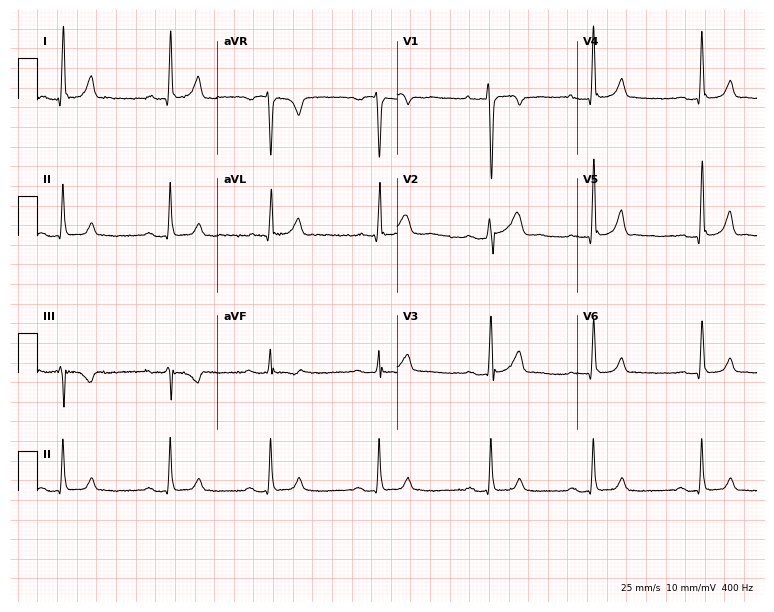
ECG — a 30-year-old male. Findings include first-degree AV block.